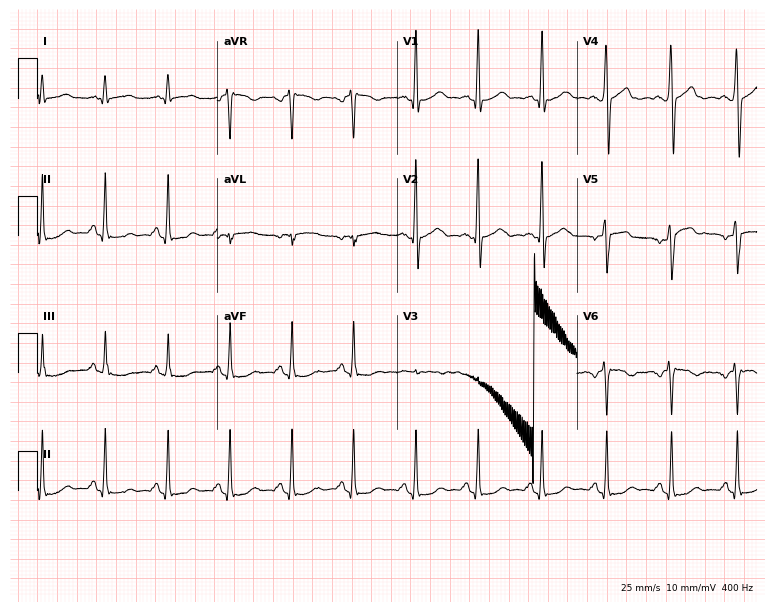
12-lead ECG from a male, 41 years old (7.3-second recording at 400 Hz). No first-degree AV block, right bundle branch block (RBBB), left bundle branch block (LBBB), sinus bradycardia, atrial fibrillation (AF) or sinus tachycardia recorded for this tracing. Only these six findings were labelled.